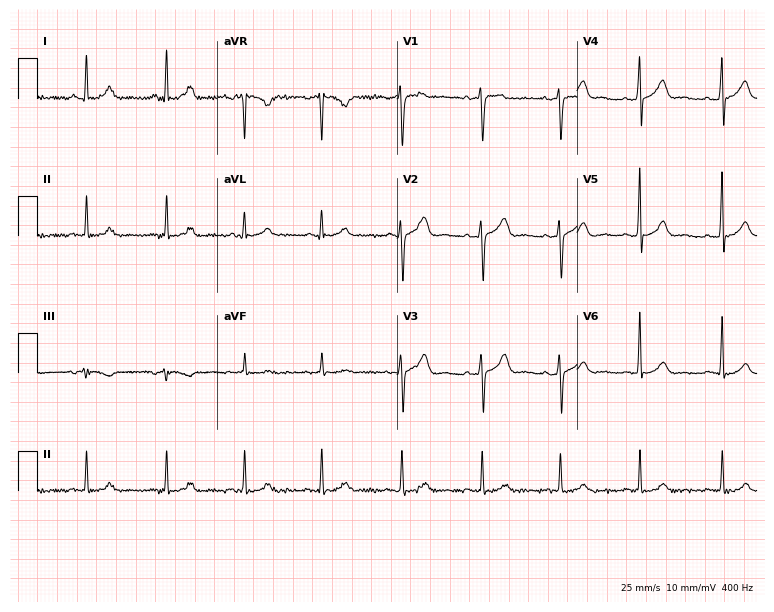
Standard 12-lead ECG recorded from a 54-year-old woman (7.3-second recording at 400 Hz). None of these six findings is recorded: first-degree AV block, right bundle branch block, left bundle branch block, sinus bradycardia, atrial fibrillation, sinus tachycardia. Only these six findings were labelled.